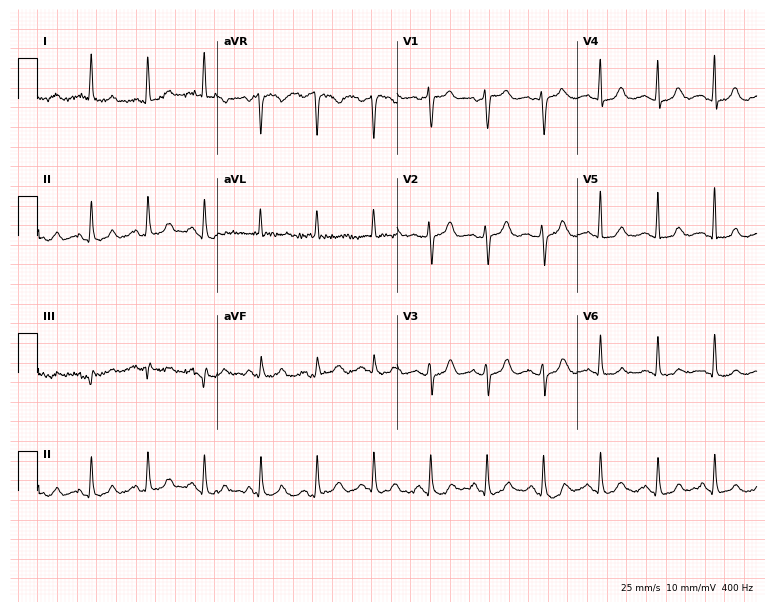
12-lead ECG from a female, 61 years old (7.3-second recording at 400 Hz). Shows sinus tachycardia (a sinus rate of 100 beats per minute or more).